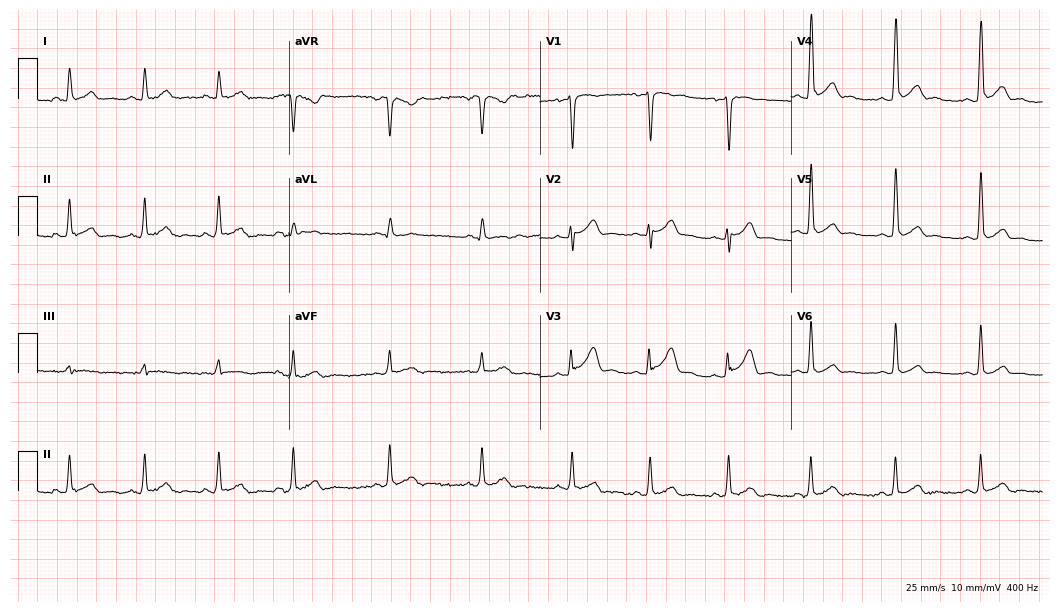
12-lead ECG from a 19-year-old male patient (10.2-second recording at 400 Hz). Recorded interpretation: within normal limits.